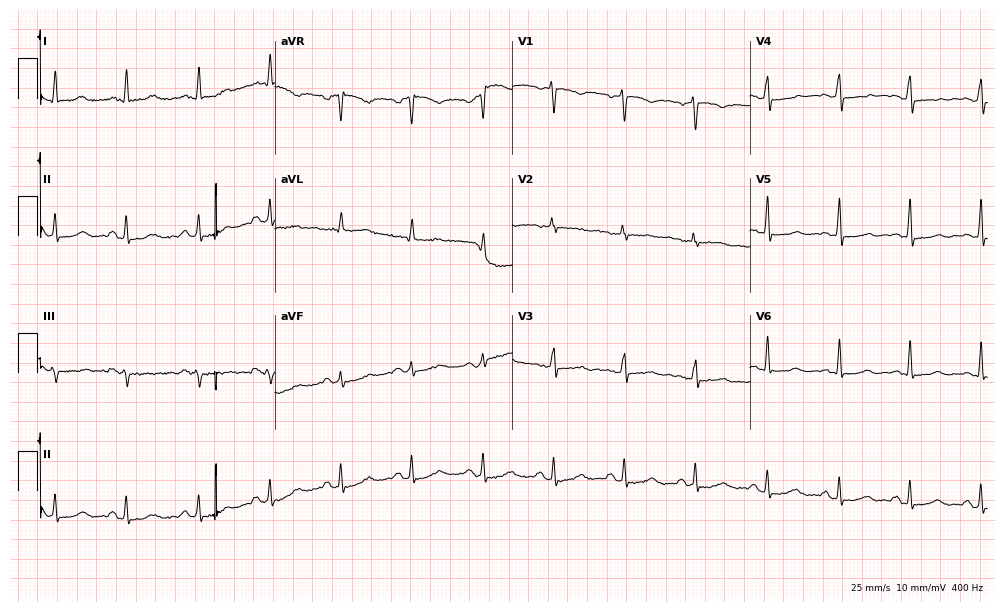
12-lead ECG from a female patient, 53 years old. No first-degree AV block, right bundle branch block, left bundle branch block, sinus bradycardia, atrial fibrillation or sinus tachycardia recorded for this tracing.